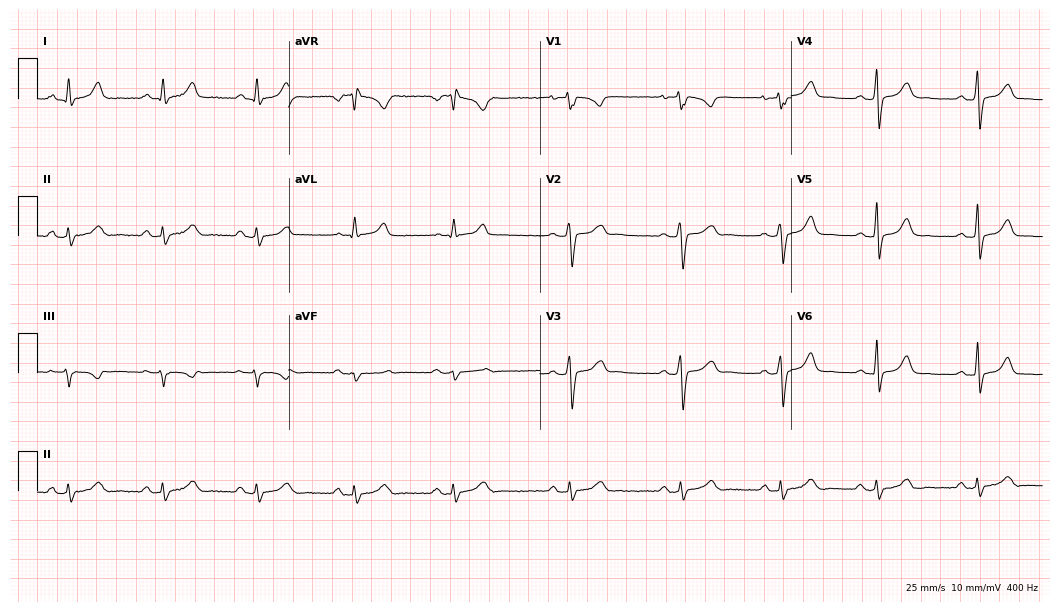
Standard 12-lead ECG recorded from a 26-year-old female. Read as a normal ECG.